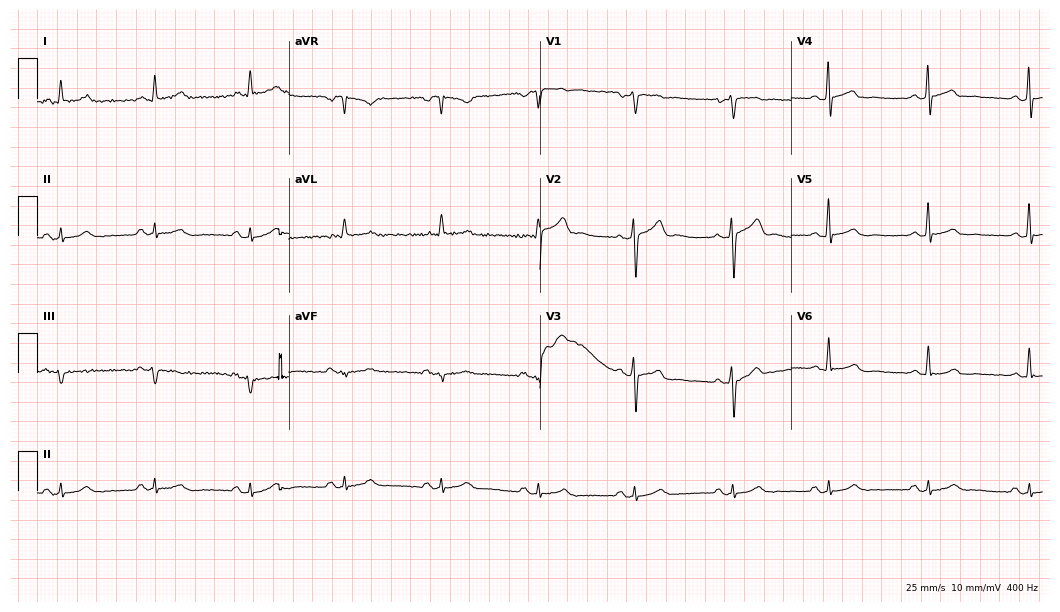
Resting 12-lead electrocardiogram. Patient: a male, 58 years old. Read as a normal ECG.